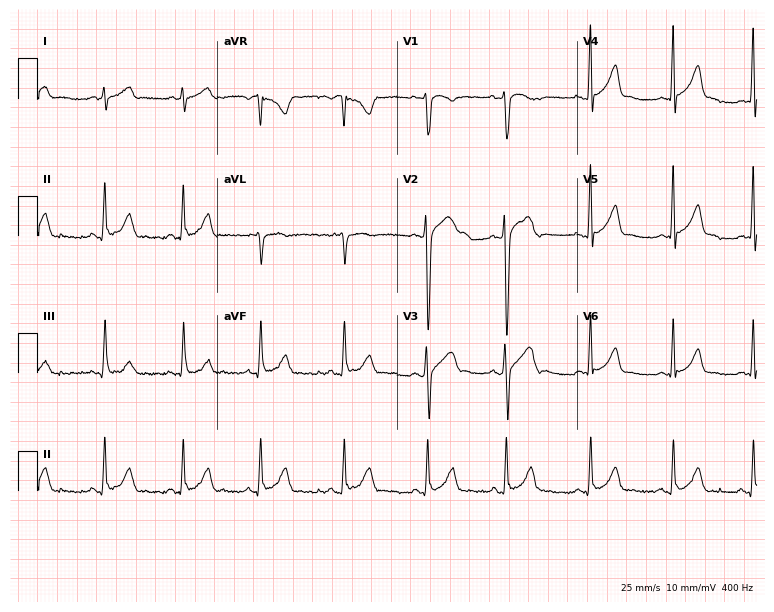
ECG — a 20-year-old male. Labelled as a normal ECG.